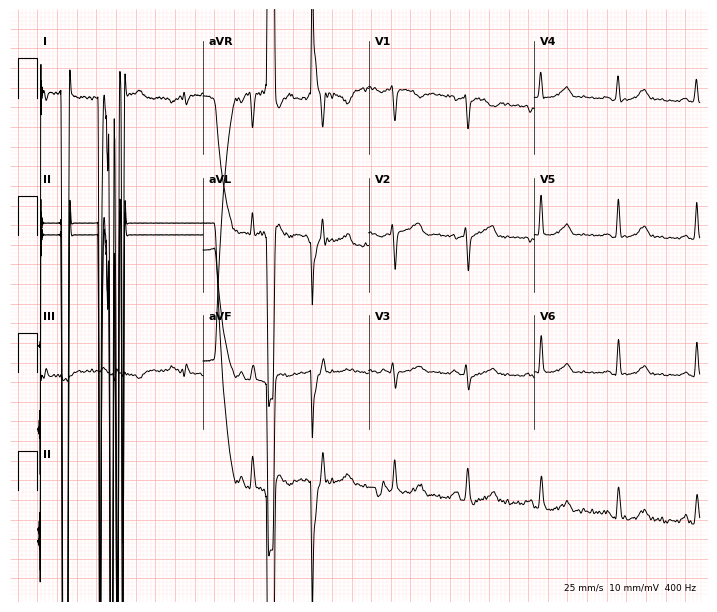
12-lead ECG from a female, 45 years old (6.8-second recording at 400 Hz). No first-degree AV block, right bundle branch block, left bundle branch block, sinus bradycardia, atrial fibrillation or sinus tachycardia recorded for this tracing.